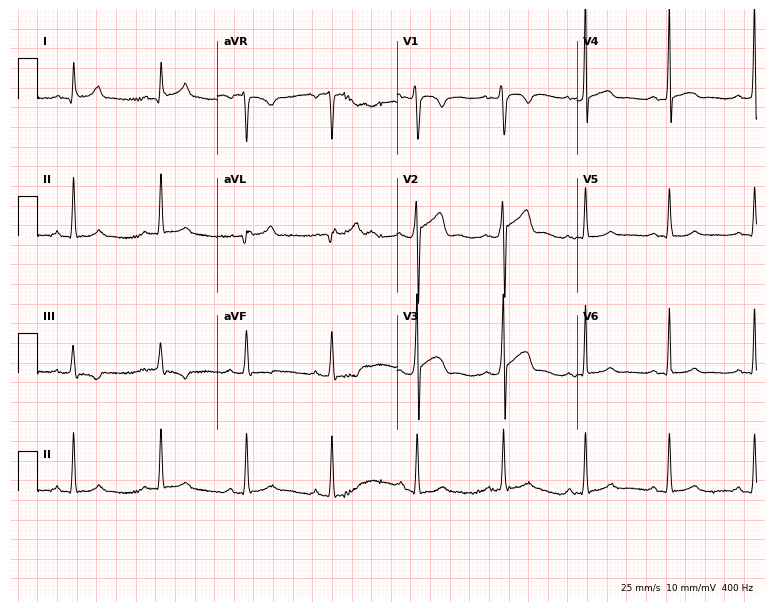
Resting 12-lead electrocardiogram (7.3-second recording at 400 Hz). Patient: a 23-year-old man. Read as a normal ECG.